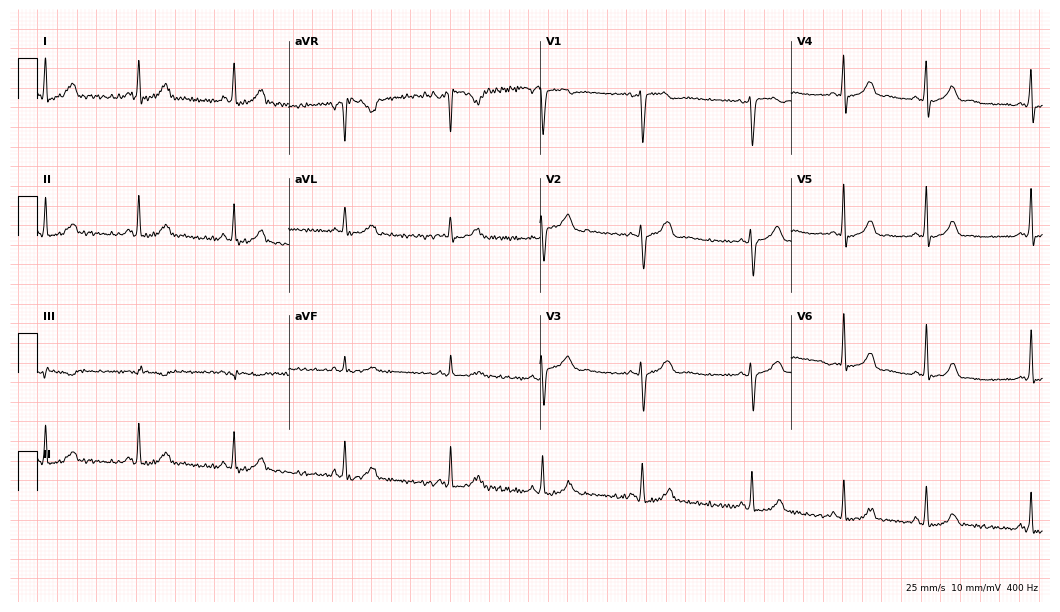
Resting 12-lead electrocardiogram. Patient: a 33-year-old female. Read as a normal ECG.